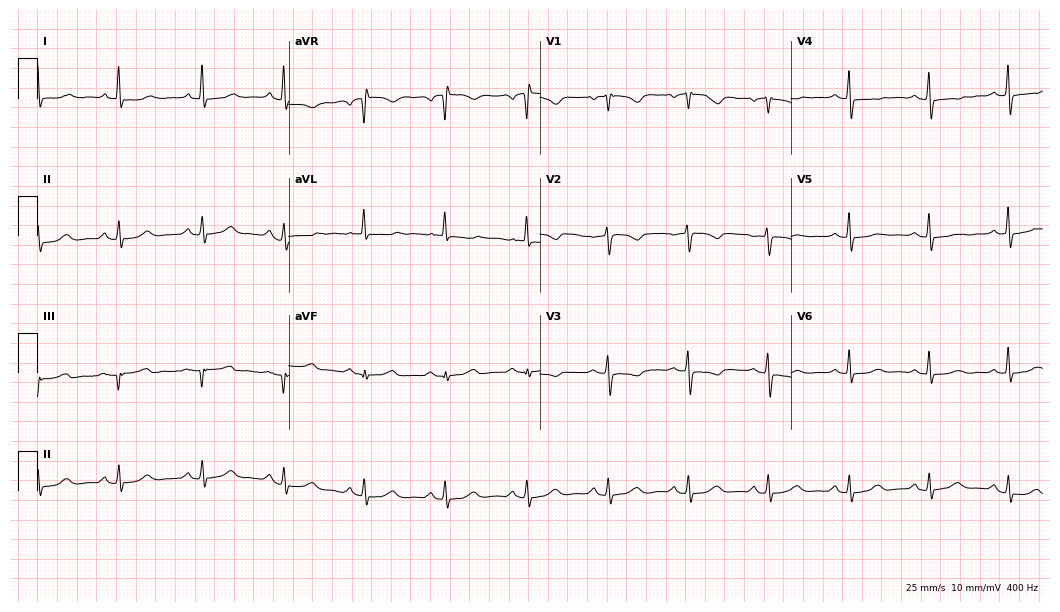
Standard 12-lead ECG recorded from a 58-year-old female (10.2-second recording at 400 Hz). None of these six findings is recorded: first-degree AV block, right bundle branch block, left bundle branch block, sinus bradycardia, atrial fibrillation, sinus tachycardia. Only these six findings were labelled.